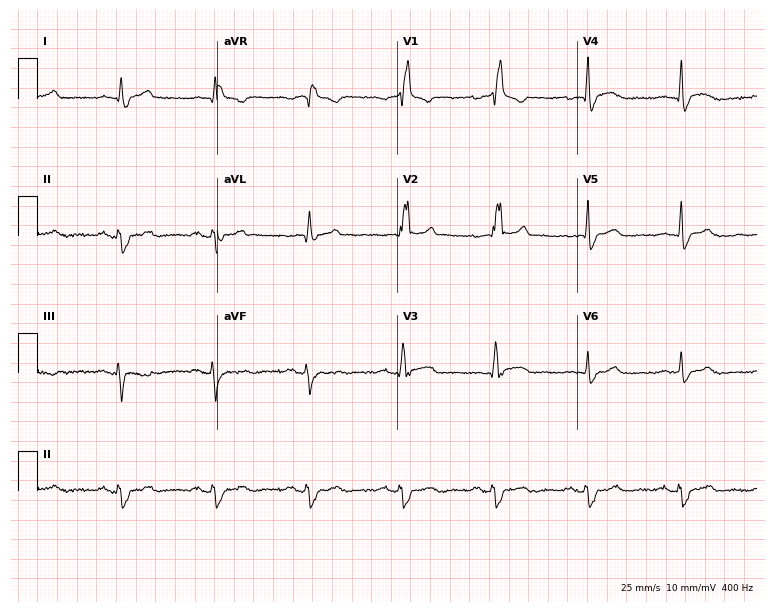
Electrocardiogram (7.3-second recording at 400 Hz), a 55-year-old man. Of the six screened findings (first-degree AV block, right bundle branch block, left bundle branch block, sinus bradycardia, atrial fibrillation, sinus tachycardia), none is recorded. Findings outside these six are not listed.